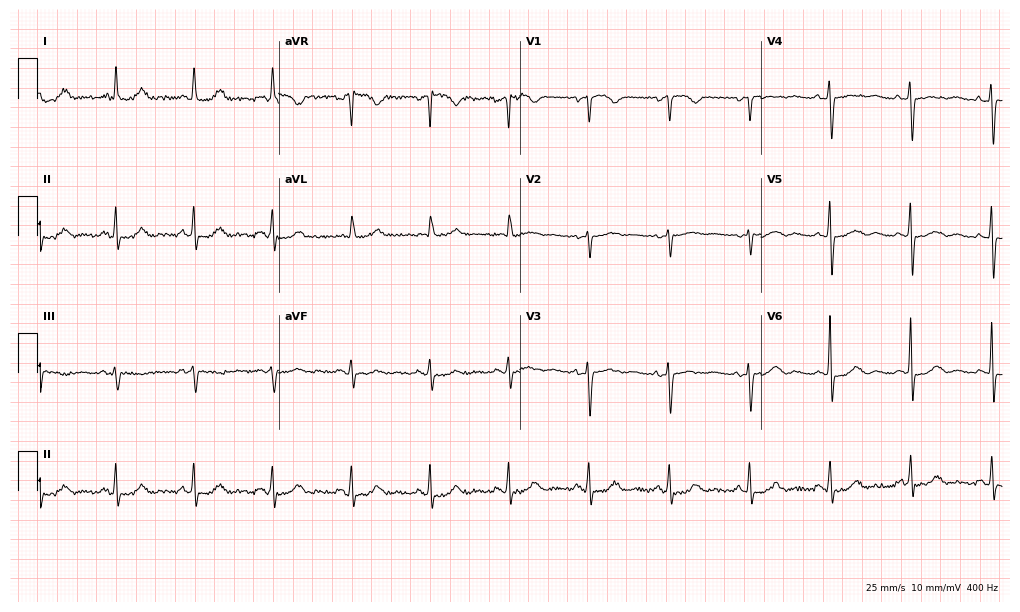
ECG (9.8-second recording at 400 Hz) — a 58-year-old female patient. Screened for six findings — first-degree AV block, right bundle branch block, left bundle branch block, sinus bradycardia, atrial fibrillation, sinus tachycardia — none is recorded.